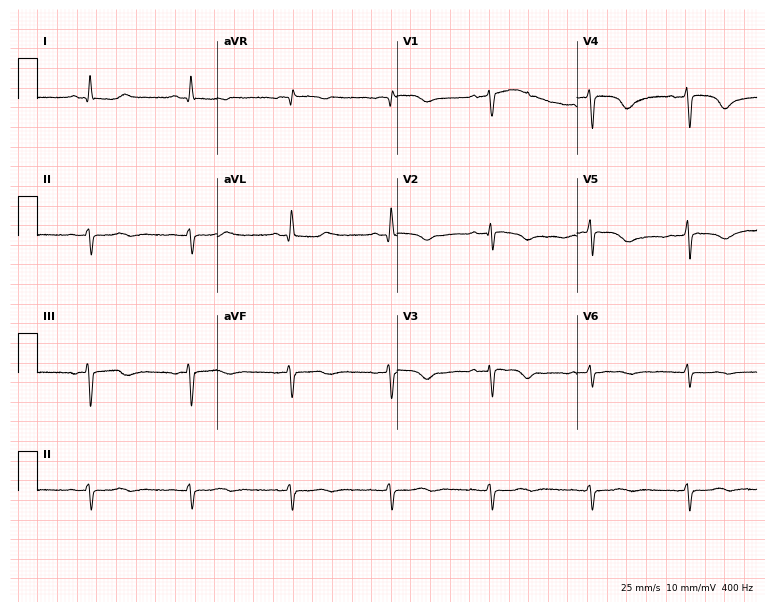
ECG (7.3-second recording at 400 Hz) — a woman, 51 years old. Screened for six findings — first-degree AV block, right bundle branch block (RBBB), left bundle branch block (LBBB), sinus bradycardia, atrial fibrillation (AF), sinus tachycardia — none is recorded. Only these six findings were labelled.